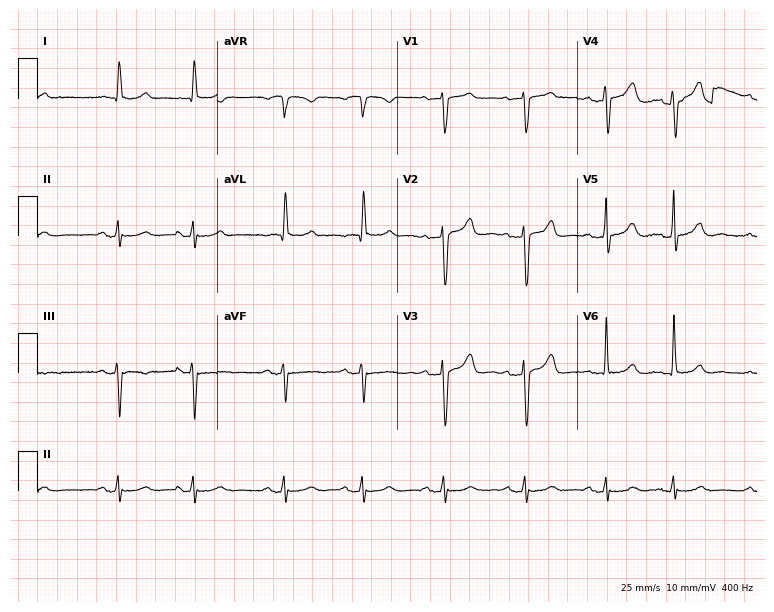
Resting 12-lead electrocardiogram (7.3-second recording at 400 Hz). Patient: a female, 78 years old. Read as a normal ECG.